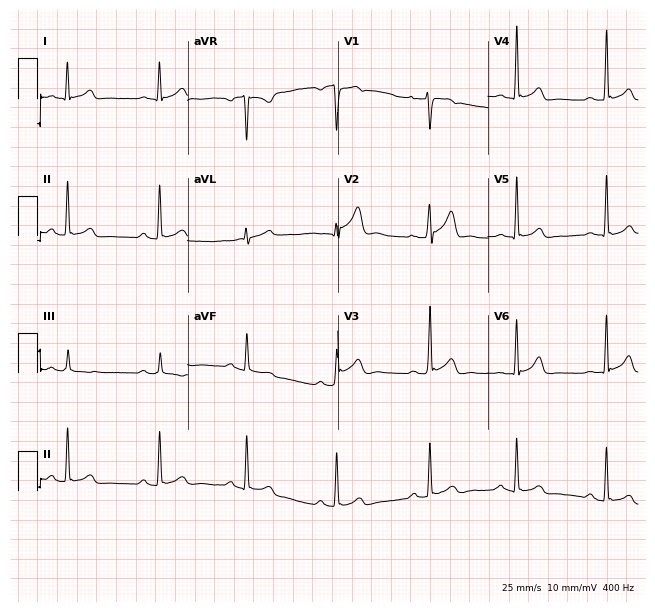
12-lead ECG from a 27-year-old male patient. Recorded interpretation: within normal limits.